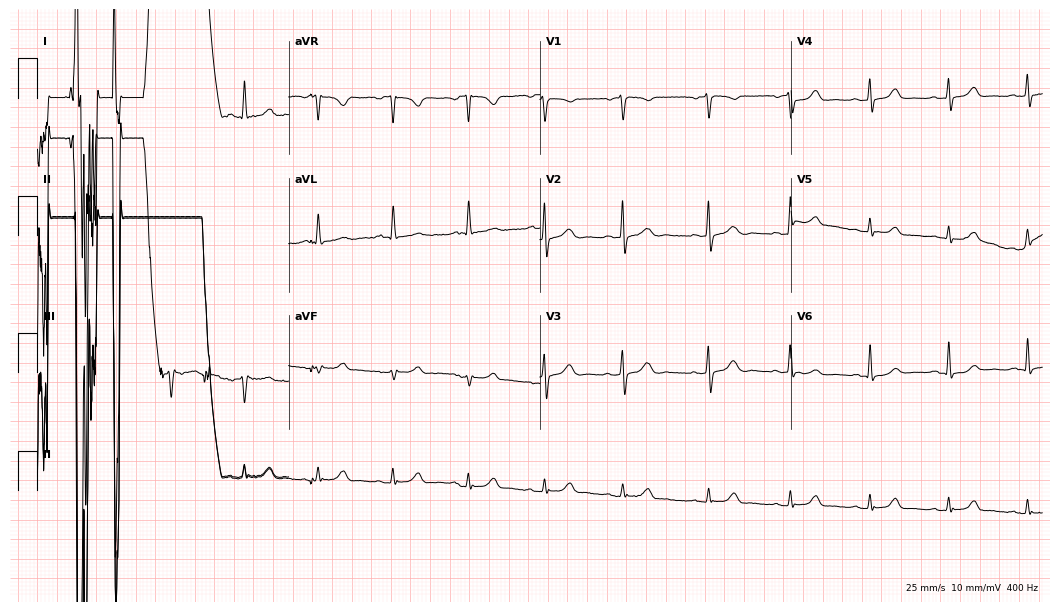
Standard 12-lead ECG recorded from a 79-year-old female. None of these six findings is recorded: first-degree AV block, right bundle branch block, left bundle branch block, sinus bradycardia, atrial fibrillation, sinus tachycardia. Only these six findings were labelled.